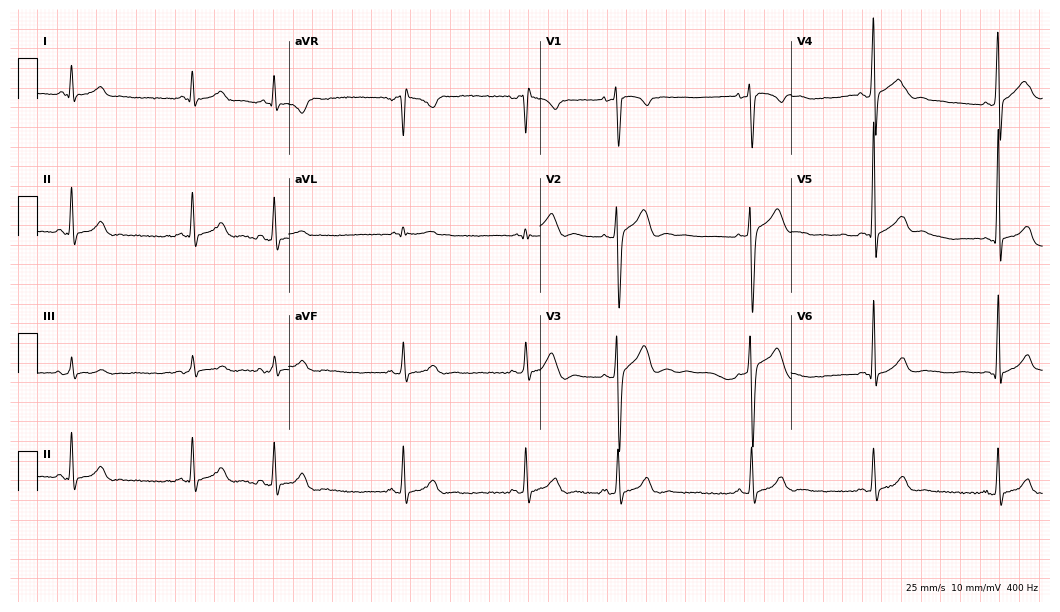
12-lead ECG (10.2-second recording at 400 Hz) from a female, 20 years old. Labelled as a normal ECG.